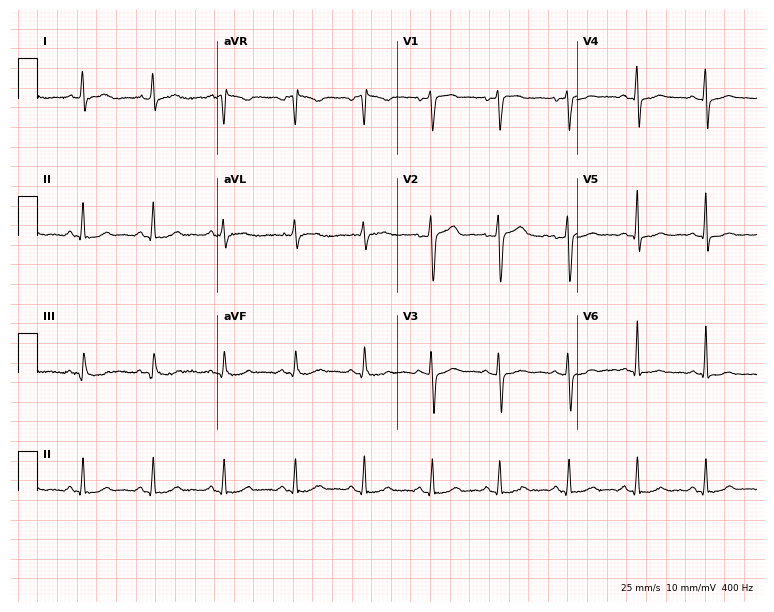
12-lead ECG from a 41-year-old female. Screened for six findings — first-degree AV block, right bundle branch block, left bundle branch block, sinus bradycardia, atrial fibrillation, sinus tachycardia — none is recorded.